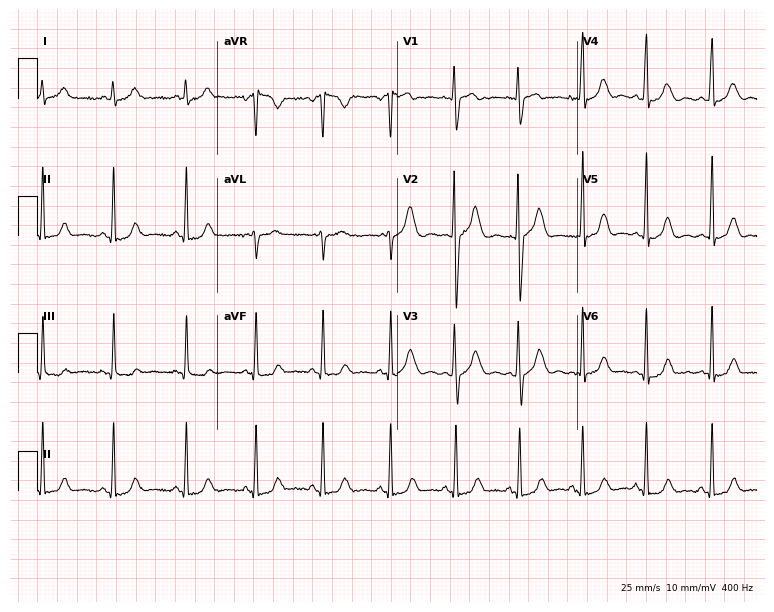
Electrocardiogram, a female, 29 years old. Overall reading on record: normal ECG.